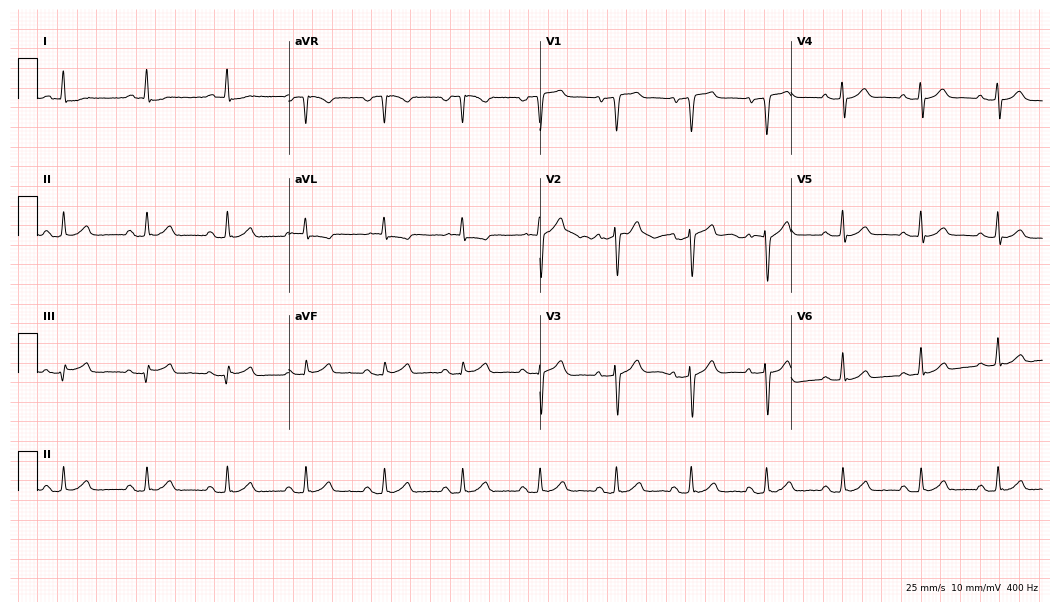
Electrocardiogram (10.2-second recording at 400 Hz), a 52-year-old man. Of the six screened findings (first-degree AV block, right bundle branch block, left bundle branch block, sinus bradycardia, atrial fibrillation, sinus tachycardia), none is recorded. Only these six findings were labelled.